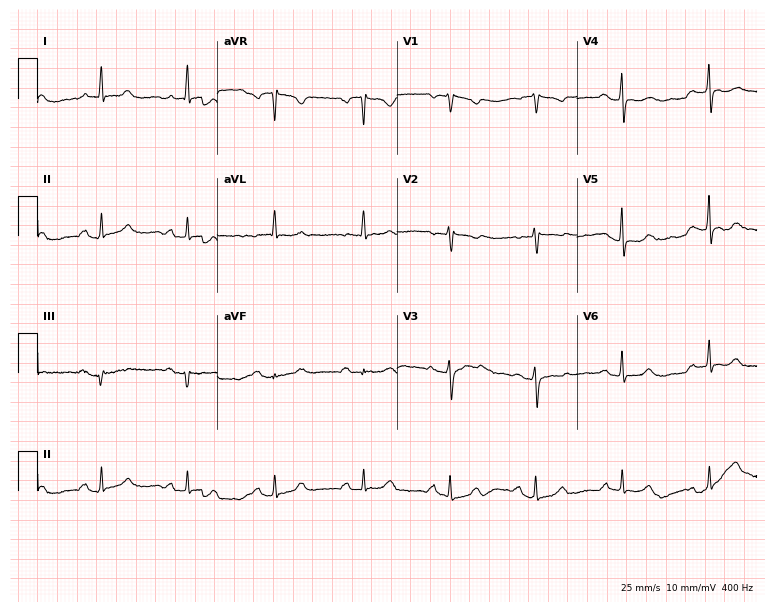
Resting 12-lead electrocardiogram (7.3-second recording at 400 Hz). Patient: a 59-year-old female. Read as a normal ECG.